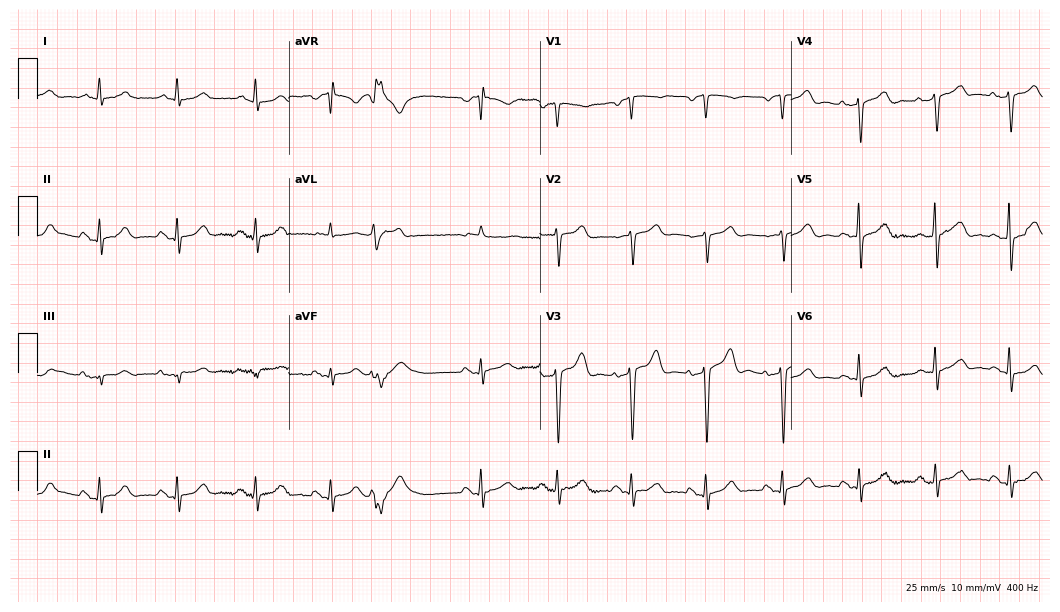
12-lead ECG from an 84-year-old woman (10.2-second recording at 400 Hz). Recorded interpretation: within normal limits.